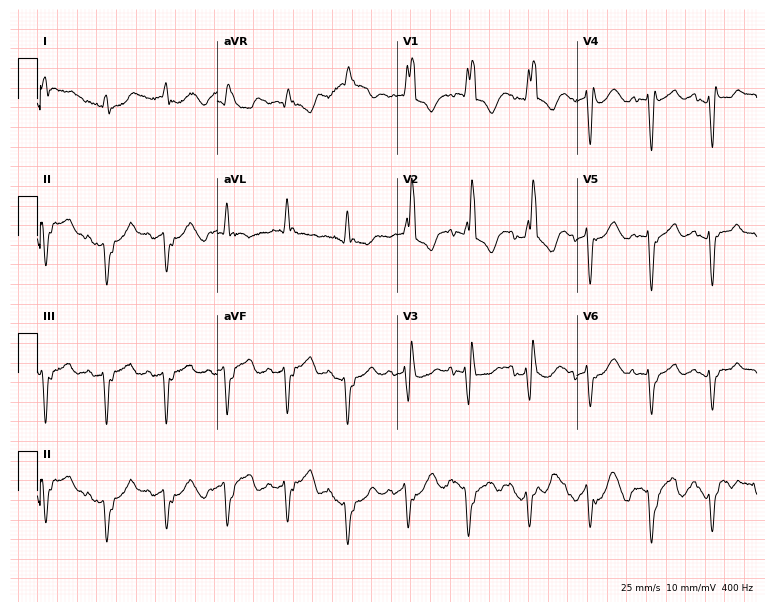
12-lead ECG (7.3-second recording at 400 Hz) from a male, 69 years old. Findings include right bundle branch block.